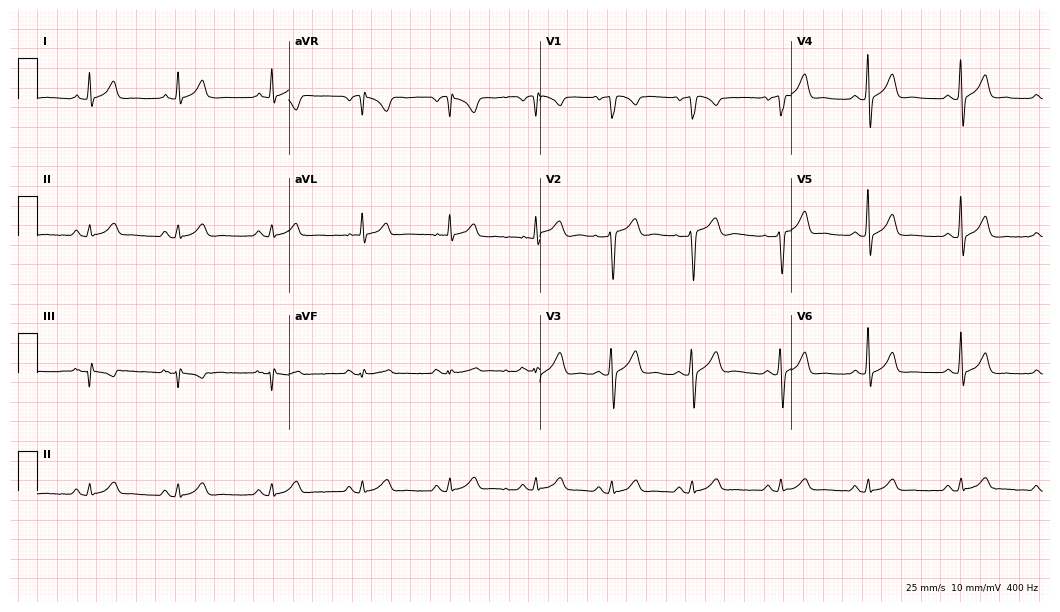
12-lead ECG from a man, 48 years old. Labelled as a normal ECG.